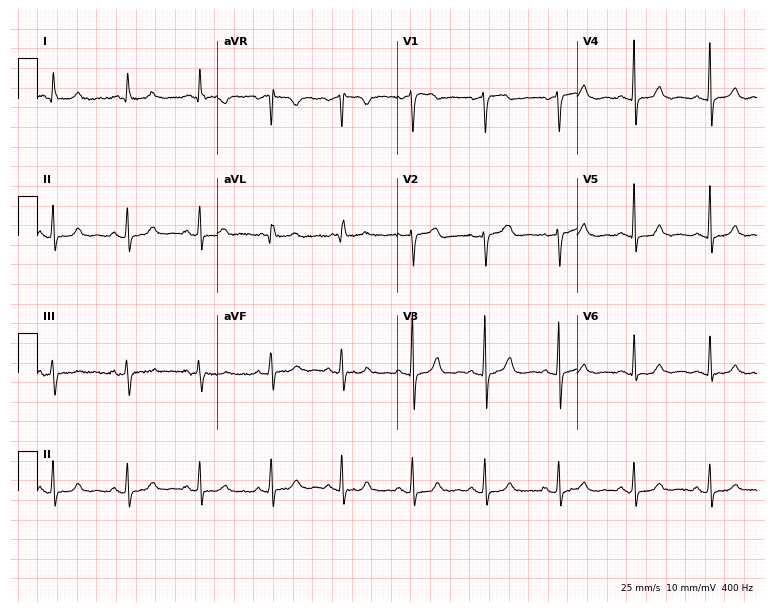
12-lead ECG from a female patient, 78 years old. Recorded interpretation: within normal limits.